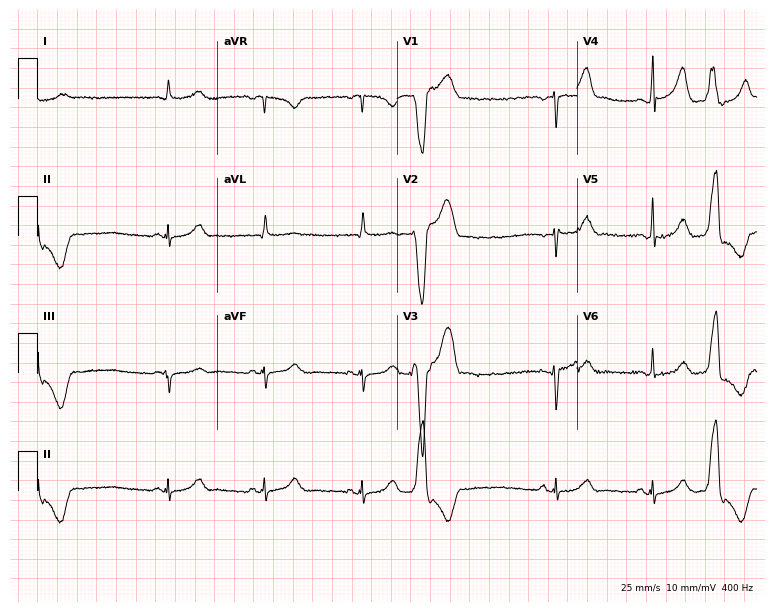
Standard 12-lead ECG recorded from a man, 60 years old (7.3-second recording at 400 Hz). None of these six findings is recorded: first-degree AV block, right bundle branch block (RBBB), left bundle branch block (LBBB), sinus bradycardia, atrial fibrillation (AF), sinus tachycardia. Other findings, if any, are not listed.